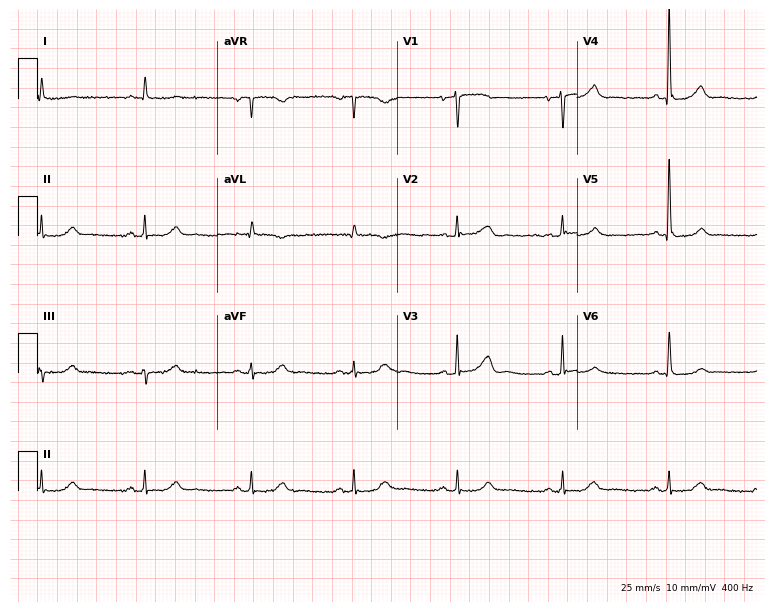
12-lead ECG from a 69-year-old female. Screened for six findings — first-degree AV block, right bundle branch block, left bundle branch block, sinus bradycardia, atrial fibrillation, sinus tachycardia — none is recorded. Findings outside these six are not listed.